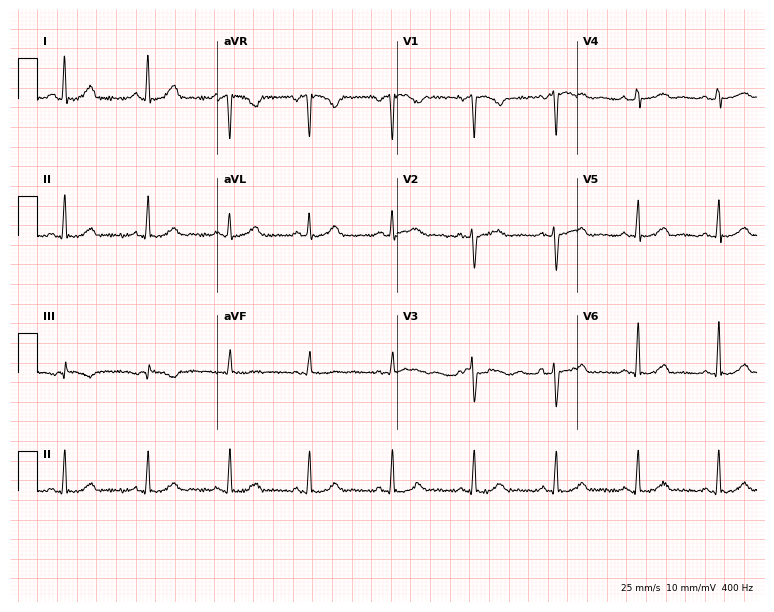
Standard 12-lead ECG recorded from a female patient, 42 years old. Read as a normal ECG.